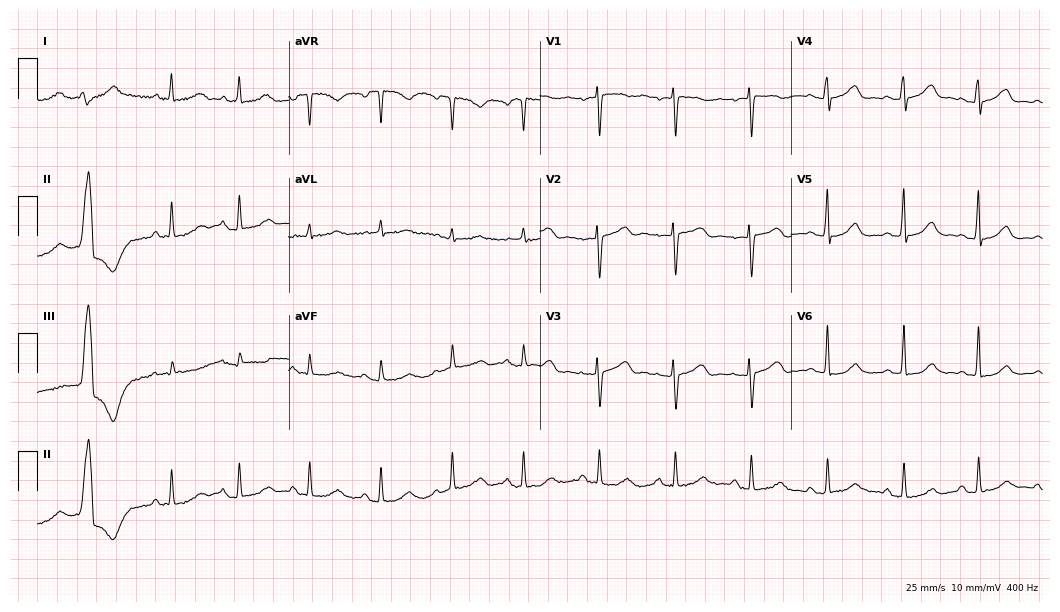
ECG — a 72-year-old woman. Screened for six findings — first-degree AV block, right bundle branch block (RBBB), left bundle branch block (LBBB), sinus bradycardia, atrial fibrillation (AF), sinus tachycardia — none is recorded. Only these six findings were labelled.